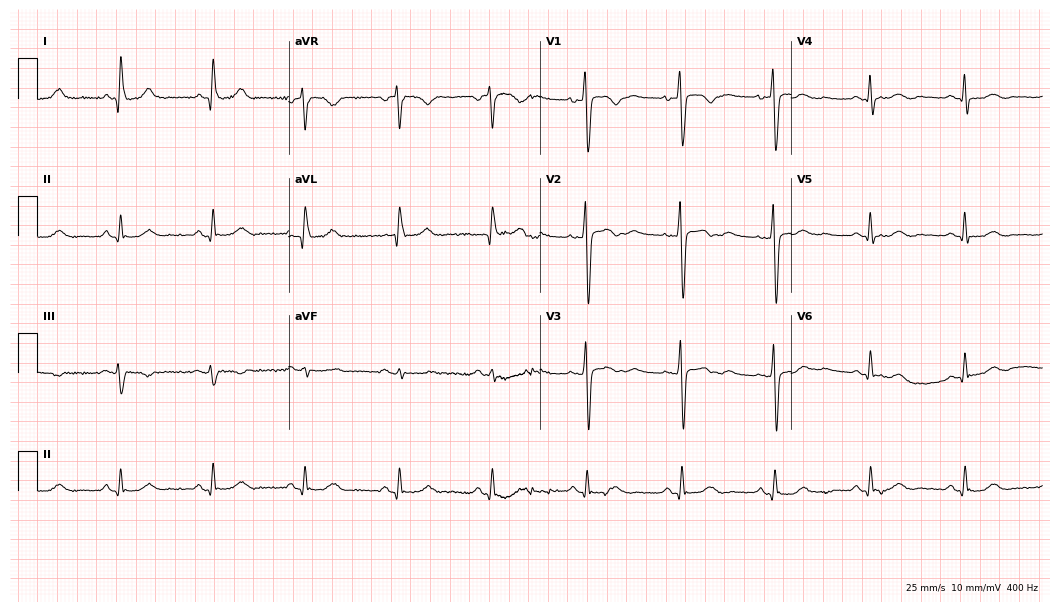
Standard 12-lead ECG recorded from a 55-year-old woman. None of these six findings is recorded: first-degree AV block, right bundle branch block (RBBB), left bundle branch block (LBBB), sinus bradycardia, atrial fibrillation (AF), sinus tachycardia. Only these six findings were labelled.